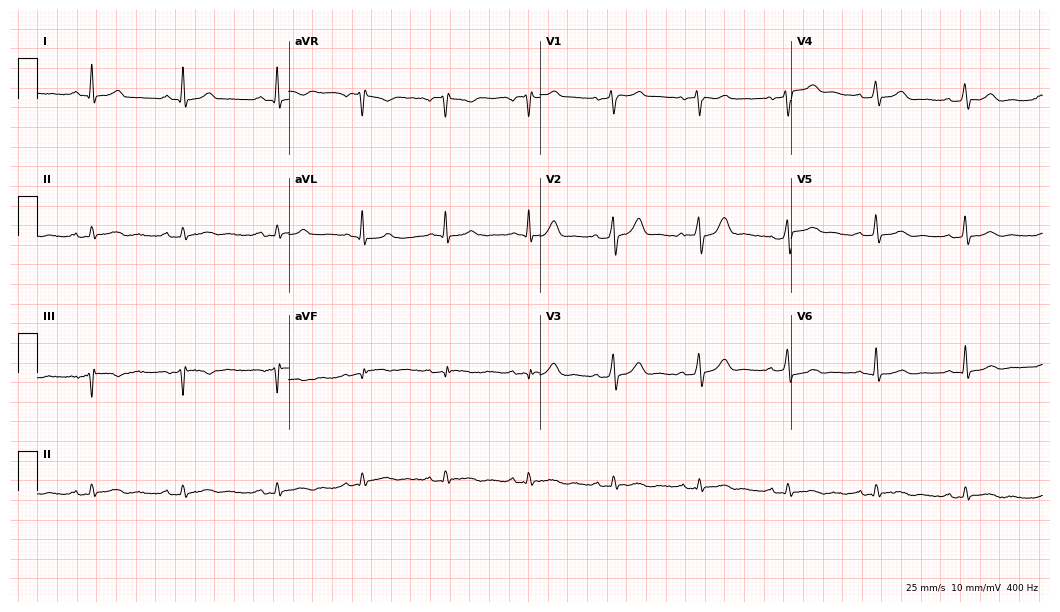
Standard 12-lead ECG recorded from a 49-year-old man (10.2-second recording at 400 Hz). Read as a normal ECG.